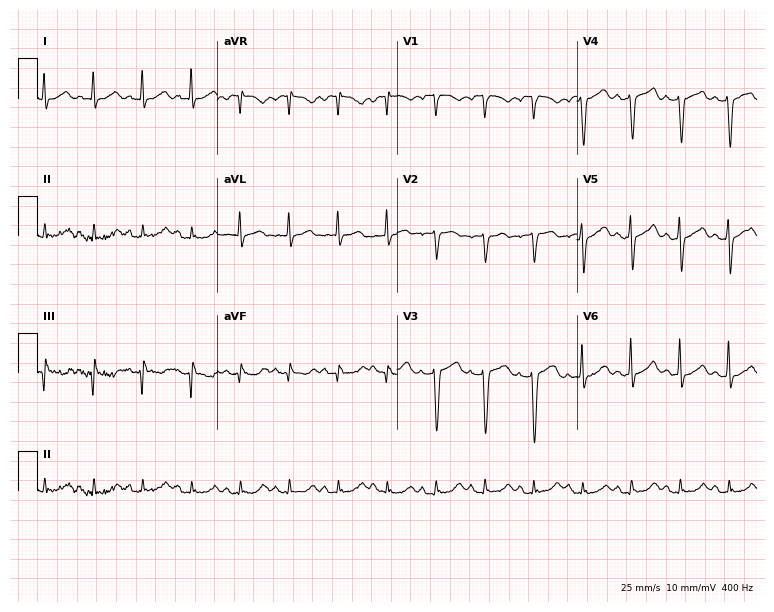
12-lead ECG (7.3-second recording at 400 Hz) from a man, 45 years old. Findings include sinus tachycardia (a sinus rate of 100 beats per minute or more).